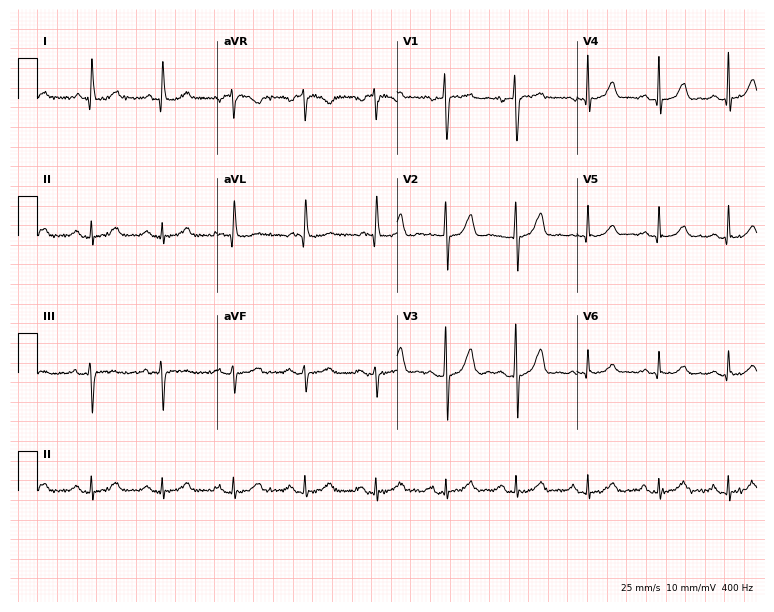
12-lead ECG (7.3-second recording at 400 Hz) from a 72-year-old female patient. Screened for six findings — first-degree AV block, right bundle branch block (RBBB), left bundle branch block (LBBB), sinus bradycardia, atrial fibrillation (AF), sinus tachycardia — none is recorded.